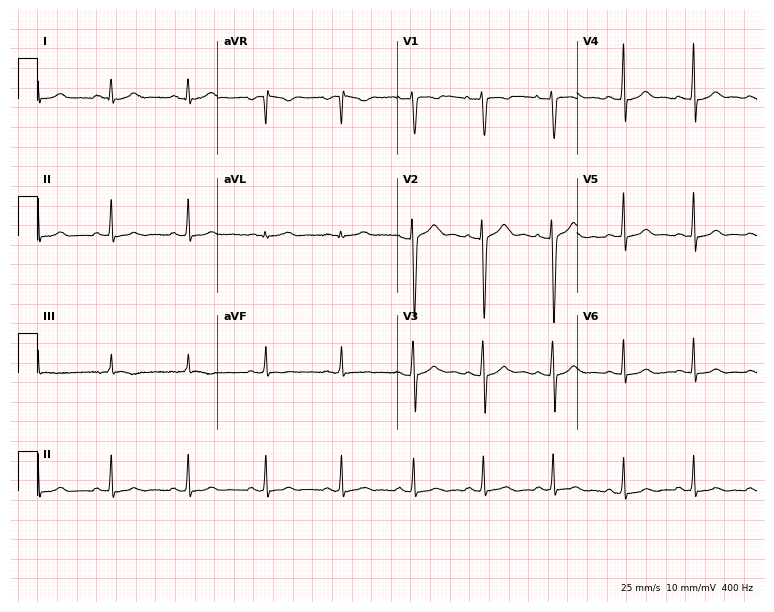
ECG (7.3-second recording at 400 Hz) — a 28-year-old female. Labelled as a normal ECG.